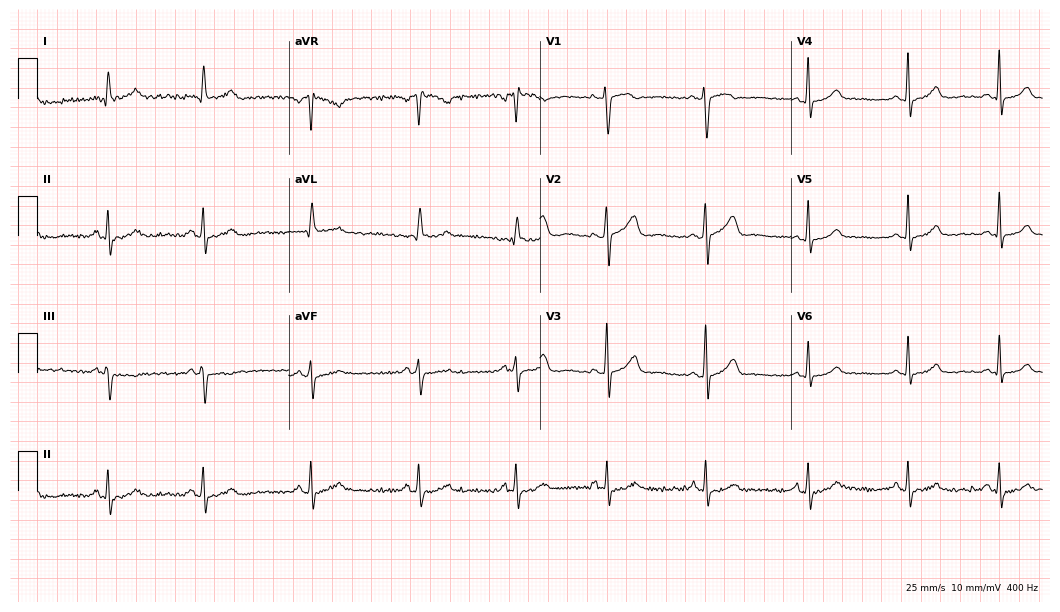
Resting 12-lead electrocardiogram (10.2-second recording at 400 Hz). Patient: a 42-year-old woman. None of these six findings is recorded: first-degree AV block, right bundle branch block, left bundle branch block, sinus bradycardia, atrial fibrillation, sinus tachycardia. Only these six findings were labelled.